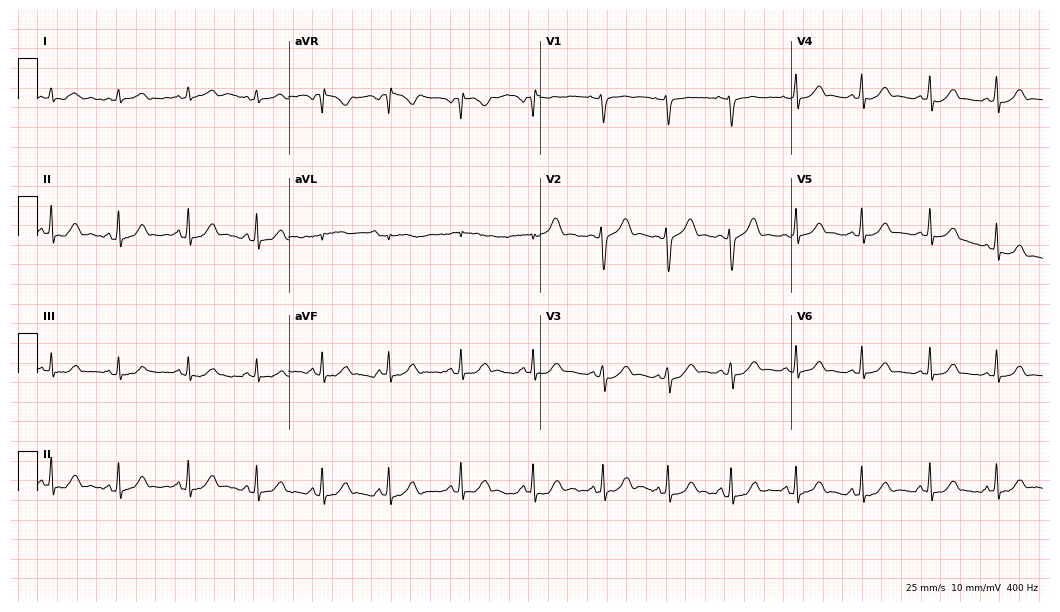
12-lead ECG from a female patient, 22 years old. Labelled as a normal ECG.